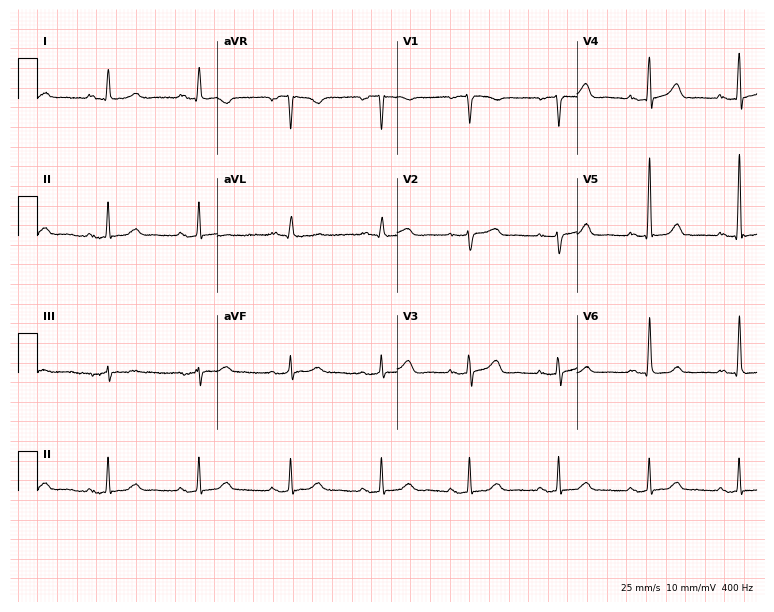
Electrocardiogram (7.3-second recording at 400 Hz), a female patient, 60 years old. Overall reading on record: normal ECG.